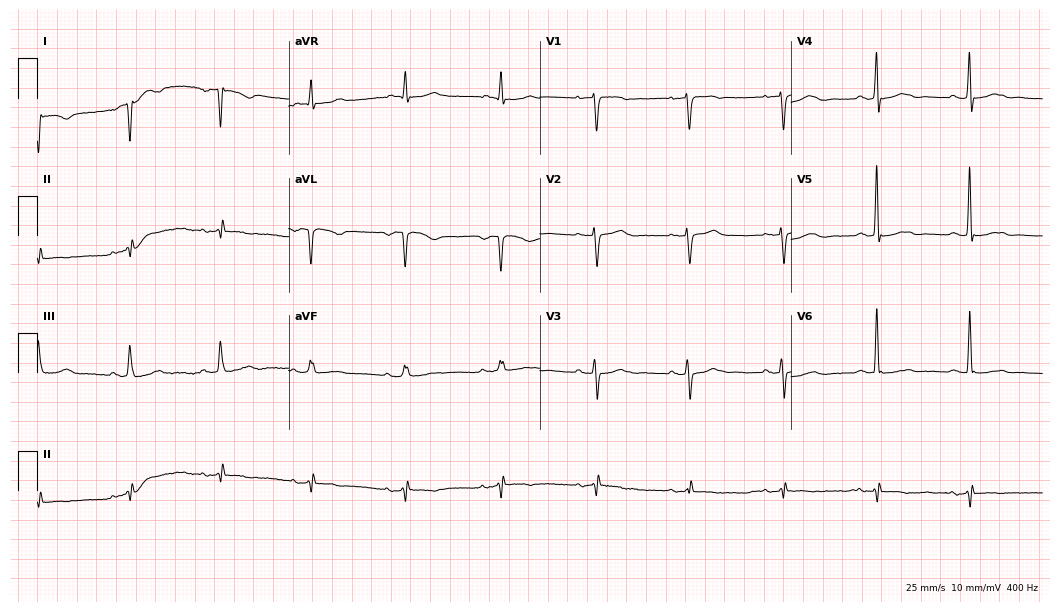
Electrocardiogram (10.2-second recording at 400 Hz), a woman, 78 years old. Of the six screened findings (first-degree AV block, right bundle branch block (RBBB), left bundle branch block (LBBB), sinus bradycardia, atrial fibrillation (AF), sinus tachycardia), none is recorded.